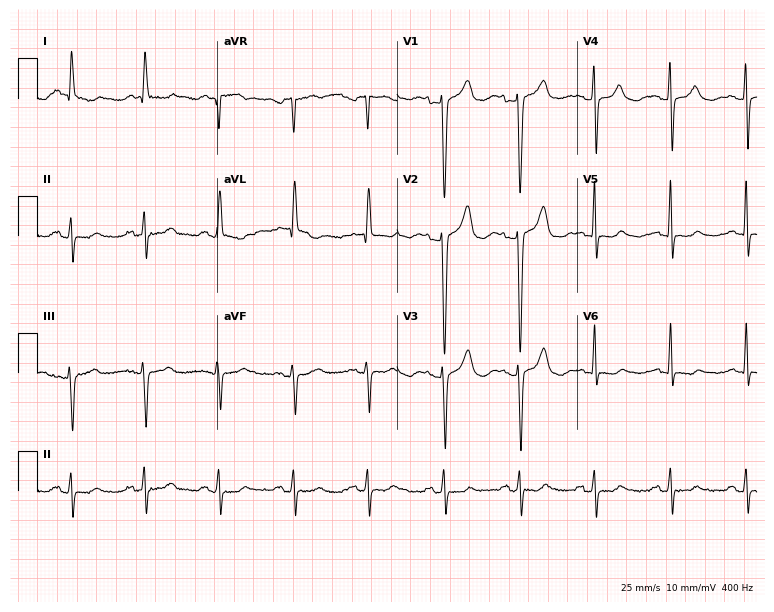
ECG (7.3-second recording at 400 Hz) — a 64-year-old female. Screened for six findings — first-degree AV block, right bundle branch block, left bundle branch block, sinus bradycardia, atrial fibrillation, sinus tachycardia — none is recorded. Only these six findings were labelled.